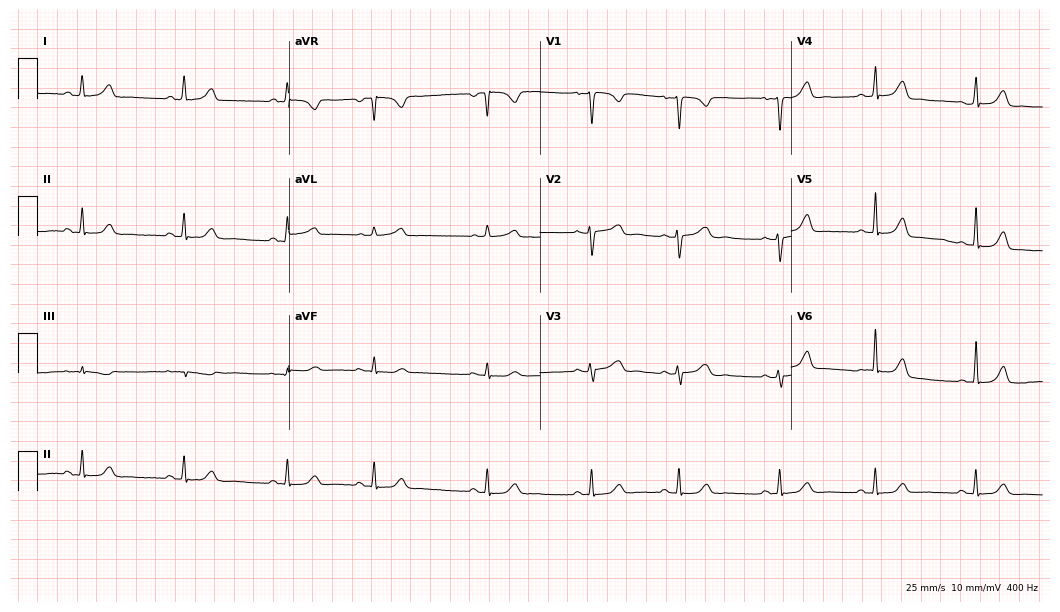
Electrocardiogram, a female, 19 years old. Overall reading on record: normal ECG.